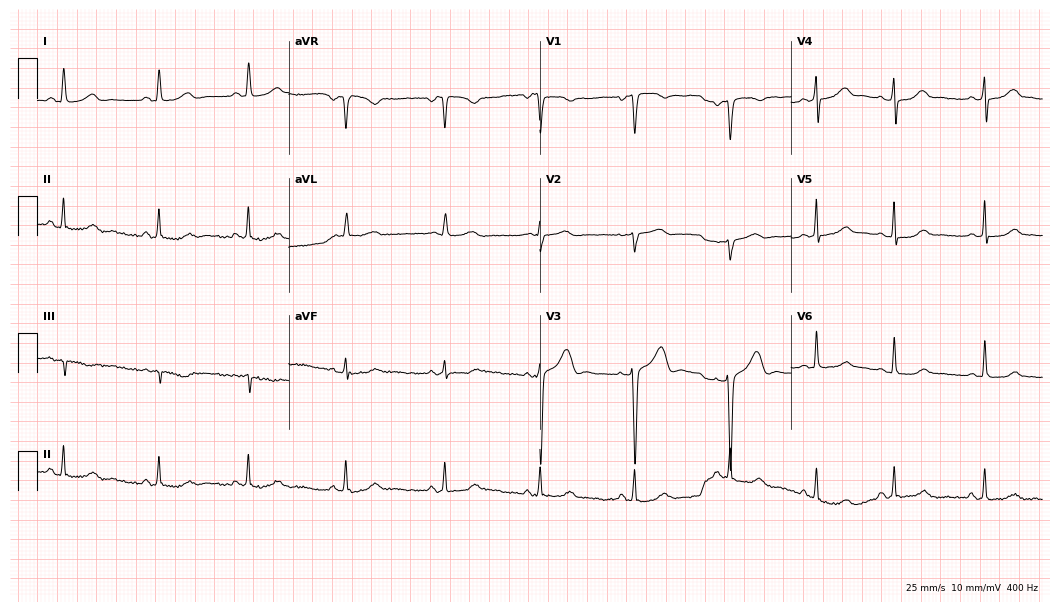
Resting 12-lead electrocardiogram (10.2-second recording at 400 Hz). Patient: a 28-year-old female. Read as a normal ECG.